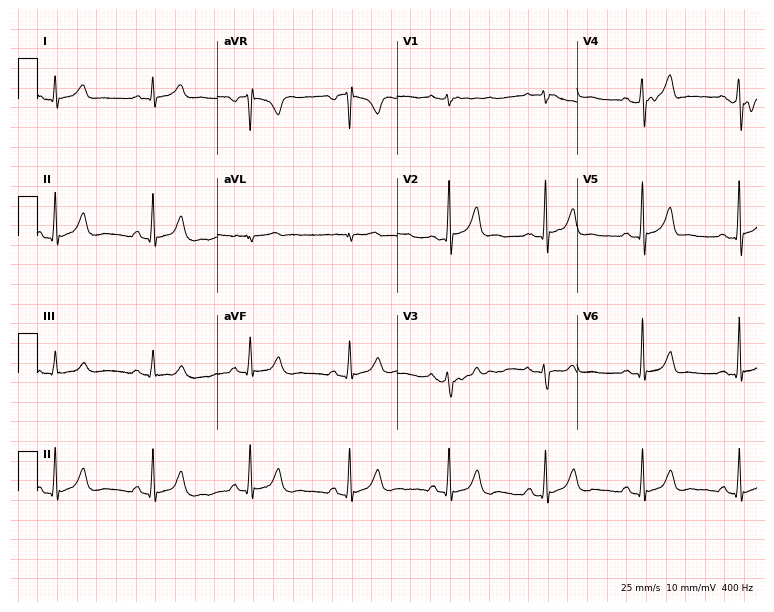
12-lead ECG from a 50-year-old man (7.3-second recording at 400 Hz). Recorded interpretation: within normal limits.